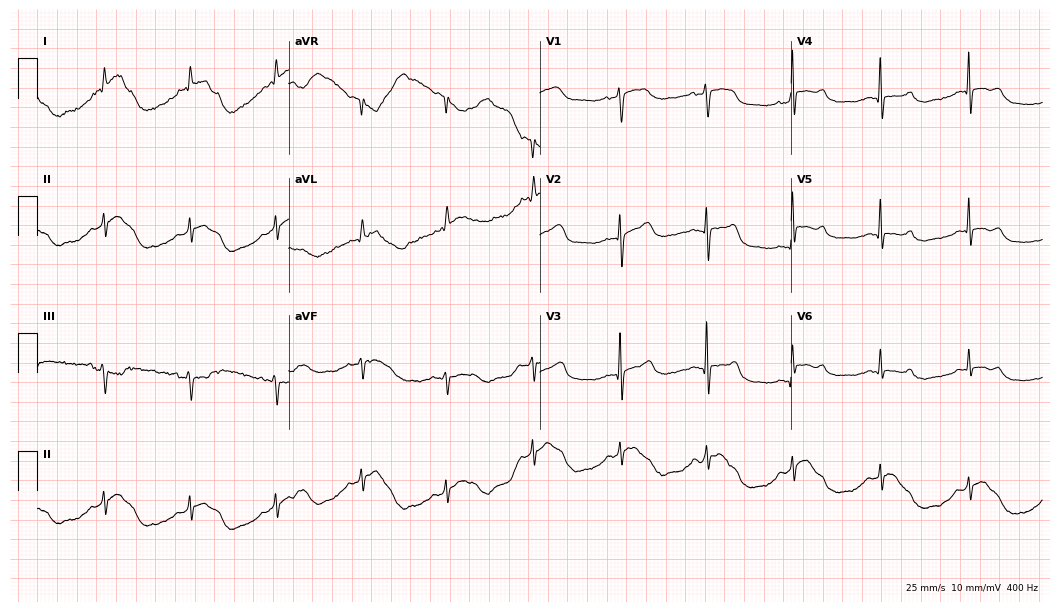
12-lead ECG (10.2-second recording at 400 Hz) from a female patient, 75 years old. Screened for six findings — first-degree AV block, right bundle branch block (RBBB), left bundle branch block (LBBB), sinus bradycardia, atrial fibrillation (AF), sinus tachycardia — none is recorded.